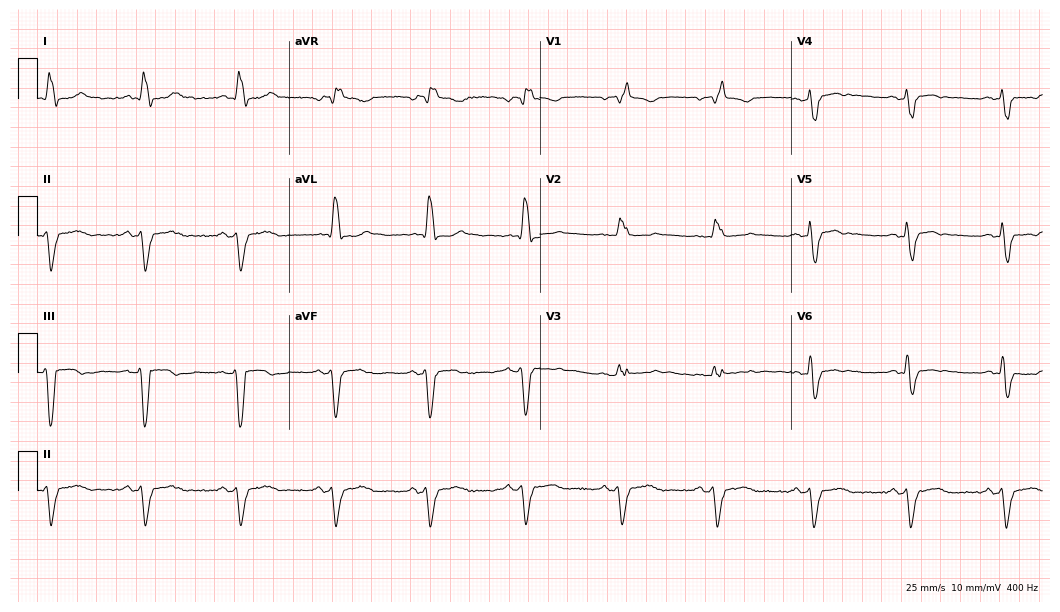
12-lead ECG (10.2-second recording at 400 Hz) from a female, 67 years old. Findings include right bundle branch block.